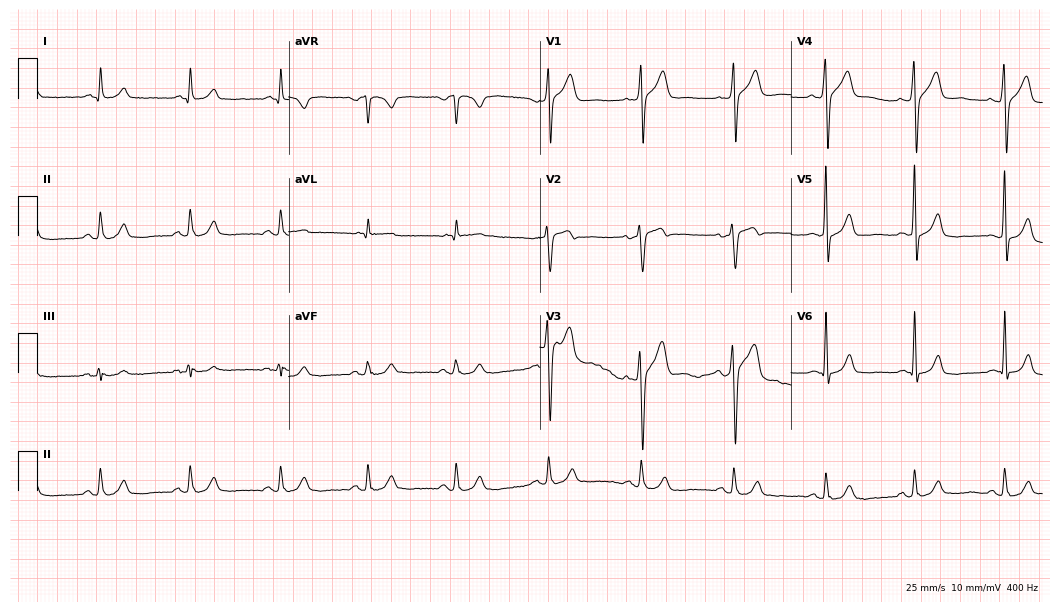
12-lead ECG from a 59-year-old male. Recorded interpretation: within normal limits.